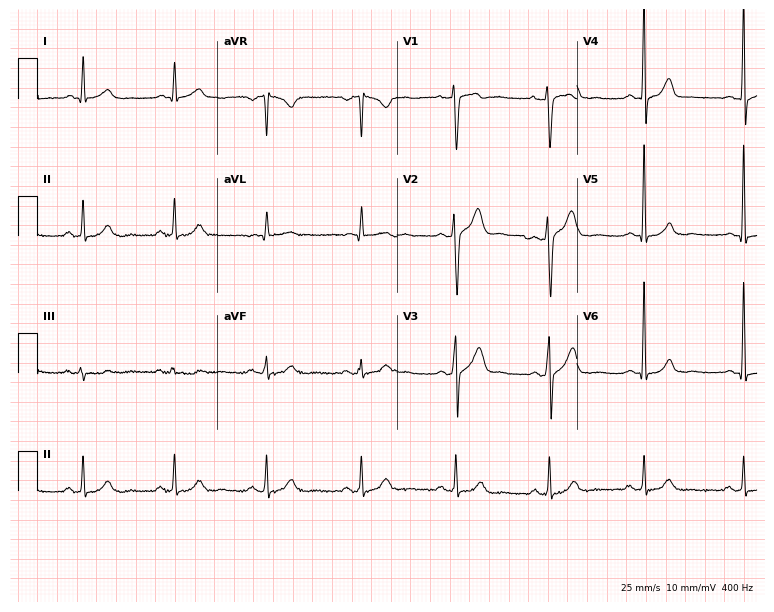
Electrocardiogram, a man, 48 years old. Overall reading on record: normal ECG.